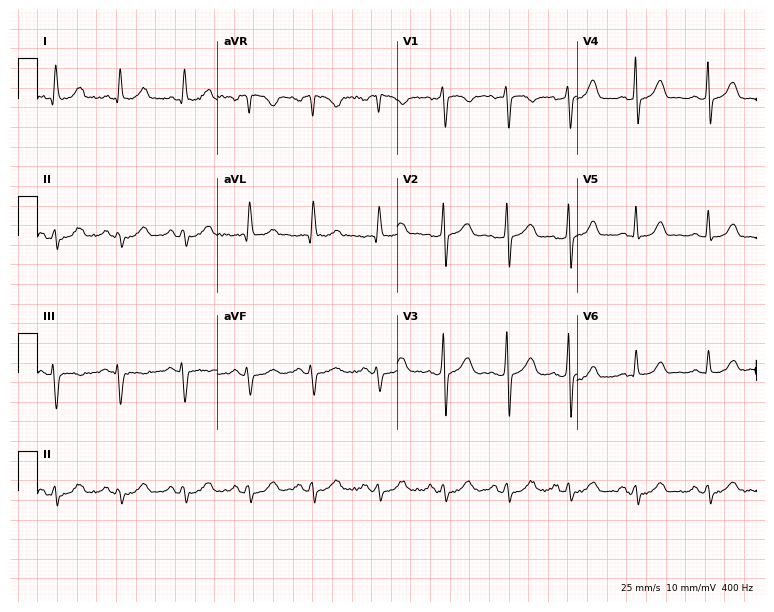
Standard 12-lead ECG recorded from a 52-year-old female patient (7.3-second recording at 400 Hz). None of these six findings is recorded: first-degree AV block, right bundle branch block, left bundle branch block, sinus bradycardia, atrial fibrillation, sinus tachycardia. Findings outside these six are not listed.